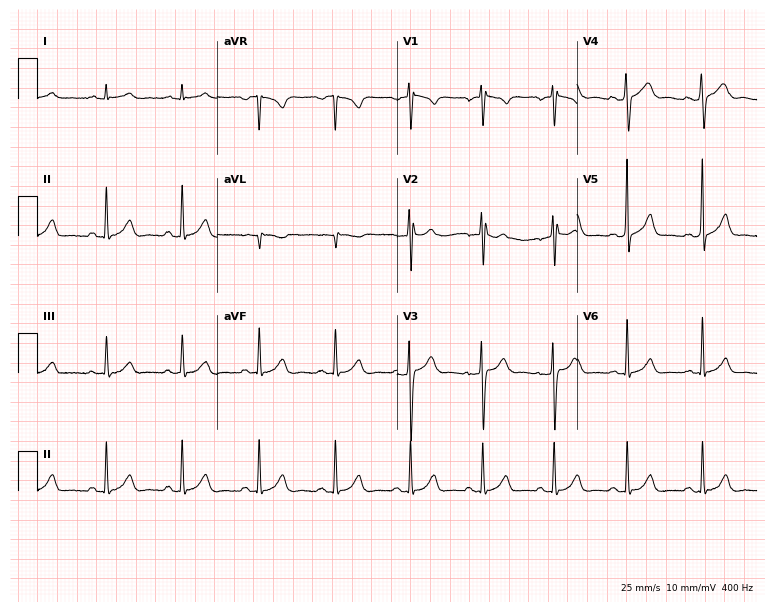
Resting 12-lead electrocardiogram. Patient: a man, 31 years old. None of these six findings is recorded: first-degree AV block, right bundle branch block (RBBB), left bundle branch block (LBBB), sinus bradycardia, atrial fibrillation (AF), sinus tachycardia.